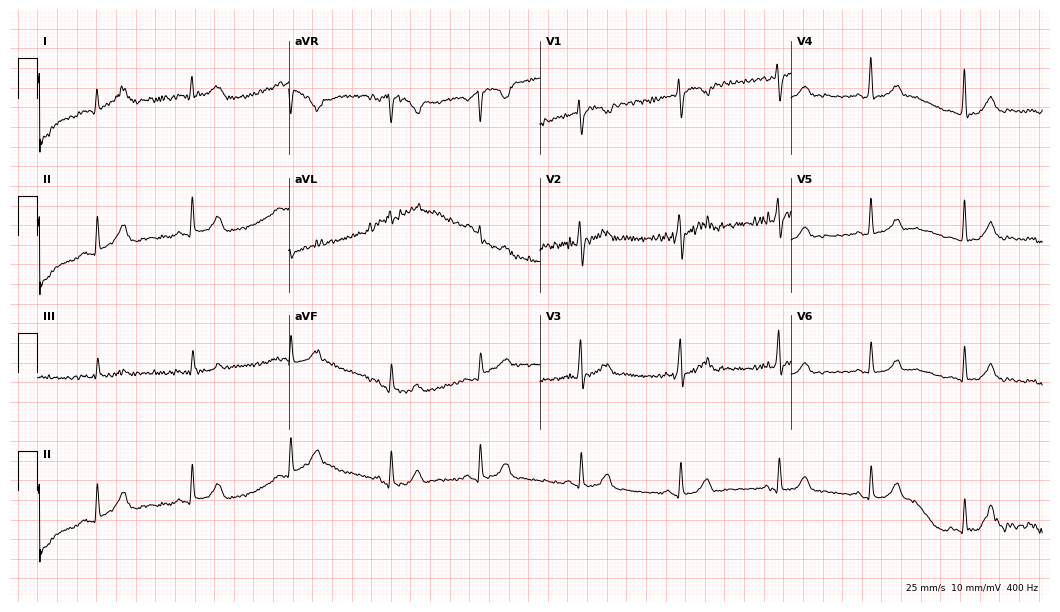
12-lead ECG (10.2-second recording at 400 Hz) from a woman, 29 years old. Labelled as a normal ECG.